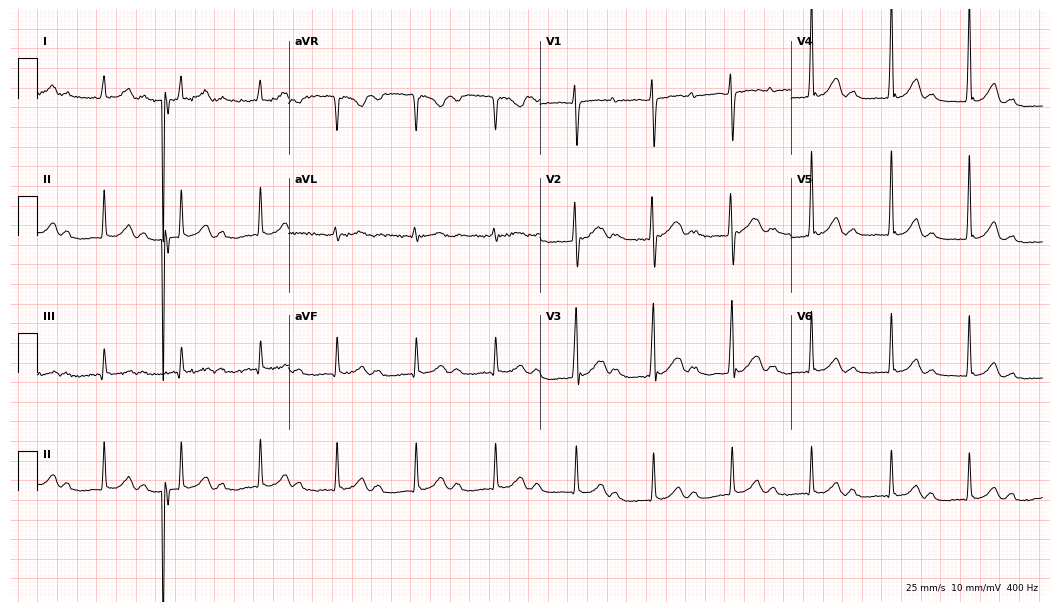
Standard 12-lead ECG recorded from a 60-year-old male (10.2-second recording at 400 Hz). None of these six findings is recorded: first-degree AV block, right bundle branch block (RBBB), left bundle branch block (LBBB), sinus bradycardia, atrial fibrillation (AF), sinus tachycardia.